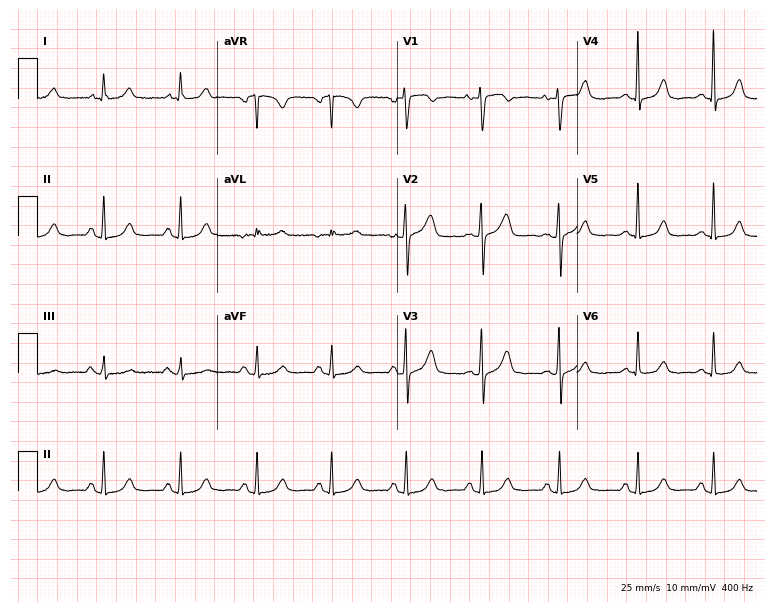
Resting 12-lead electrocardiogram (7.3-second recording at 400 Hz). Patient: a female, 47 years old. Read as a normal ECG.